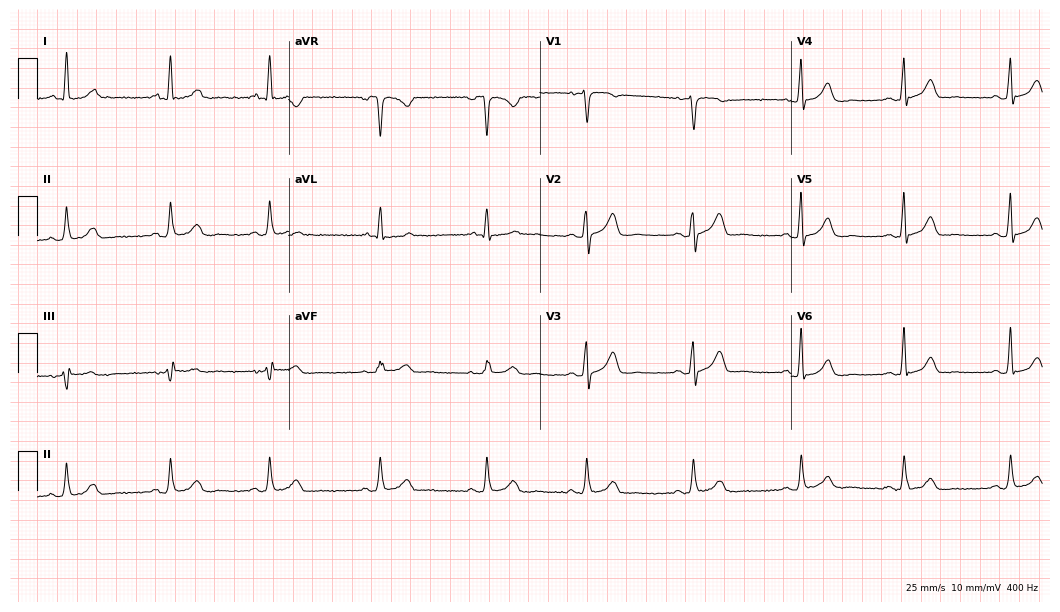
Electrocardiogram (10.2-second recording at 400 Hz), a woman, 64 years old. Overall reading on record: normal ECG.